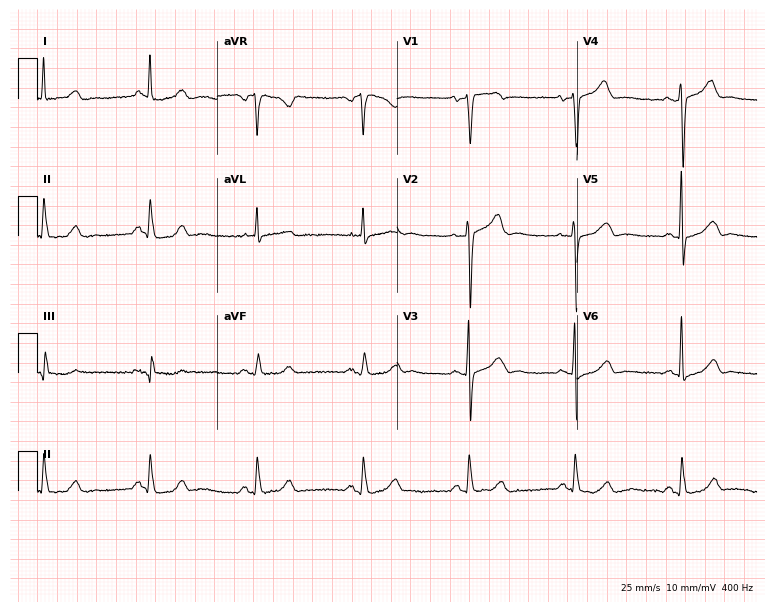
Resting 12-lead electrocardiogram. Patient: a woman, 72 years old. None of these six findings is recorded: first-degree AV block, right bundle branch block, left bundle branch block, sinus bradycardia, atrial fibrillation, sinus tachycardia.